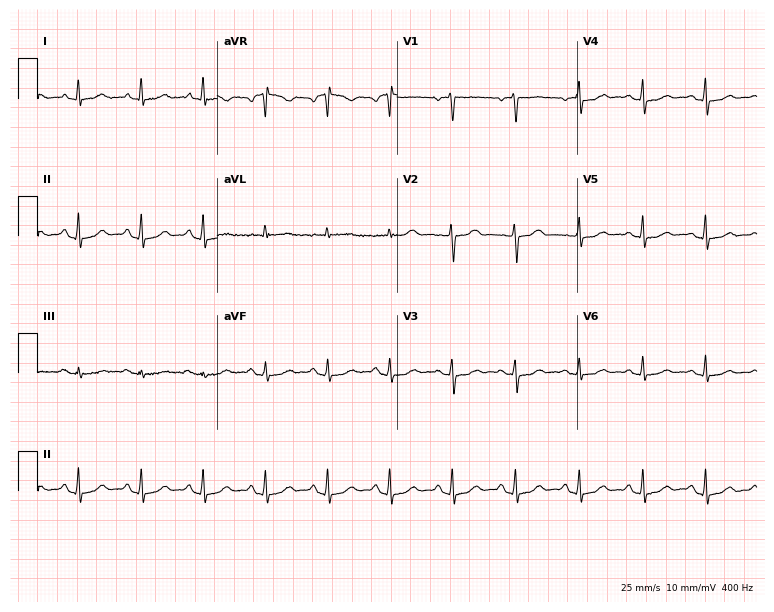
Electrocardiogram (7.3-second recording at 400 Hz), a 61-year-old female. Overall reading on record: normal ECG.